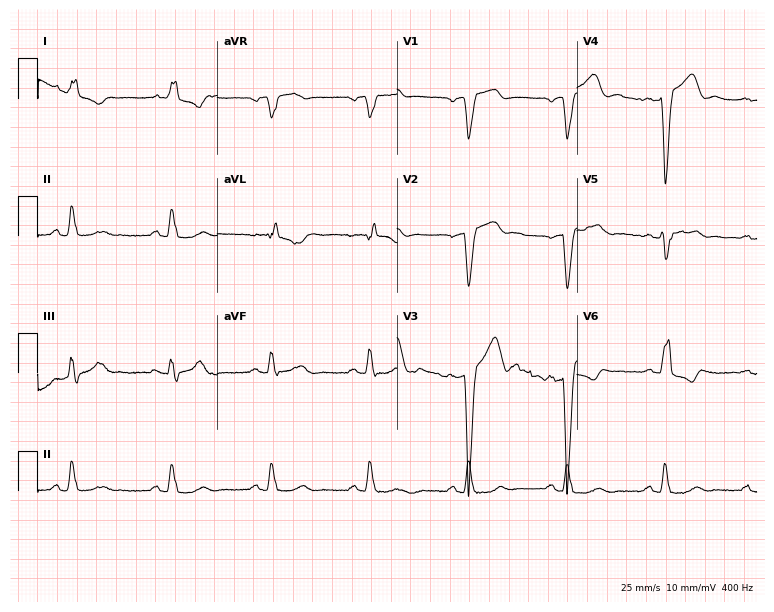
Electrocardiogram (7.3-second recording at 400 Hz), an 81-year-old man. Interpretation includes left bundle branch block (LBBB).